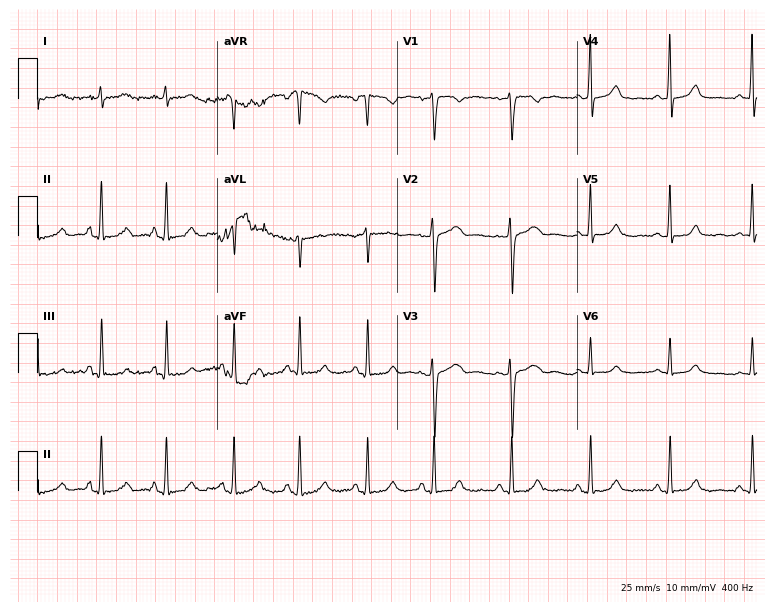
12-lead ECG from a woman, 42 years old. No first-degree AV block, right bundle branch block, left bundle branch block, sinus bradycardia, atrial fibrillation or sinus tachycardia recorded for this tracing.